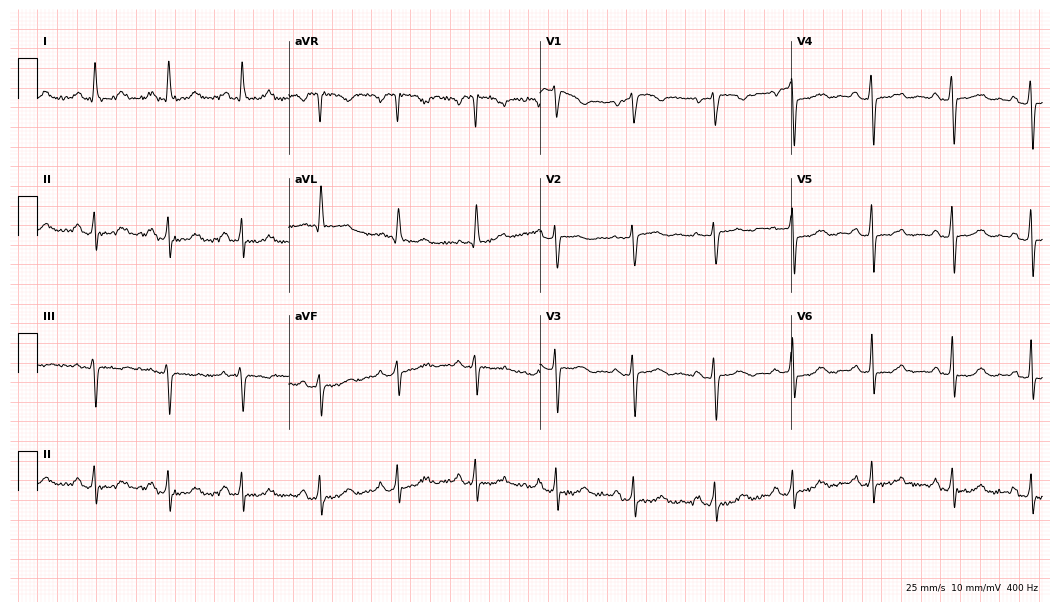
ECG (10.2-second recording at 400 Hz) — a 61-year-old female patient. Screened for six findings — first-degree AV block, right bundle branch block, left bundle branch block, sinus bradycardia, atrial fibrillation, sinus tachycardia — none is recorded. Only these six findings were labelled.